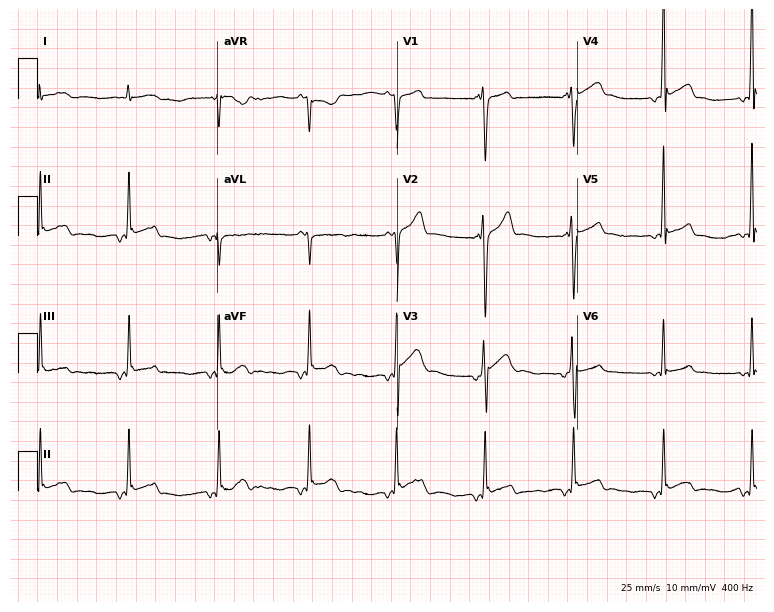
Standard 12-lead ECG recorded from a 17-year-old male patient. None of these six findings is recorded: first-degree AV block, right bundle branch block (RBBB), left bundle branch block (LBBB), sinus bradycardia, atrial fibrillation (AF), sinus tachycardia. Other findings, if any, are not listed.